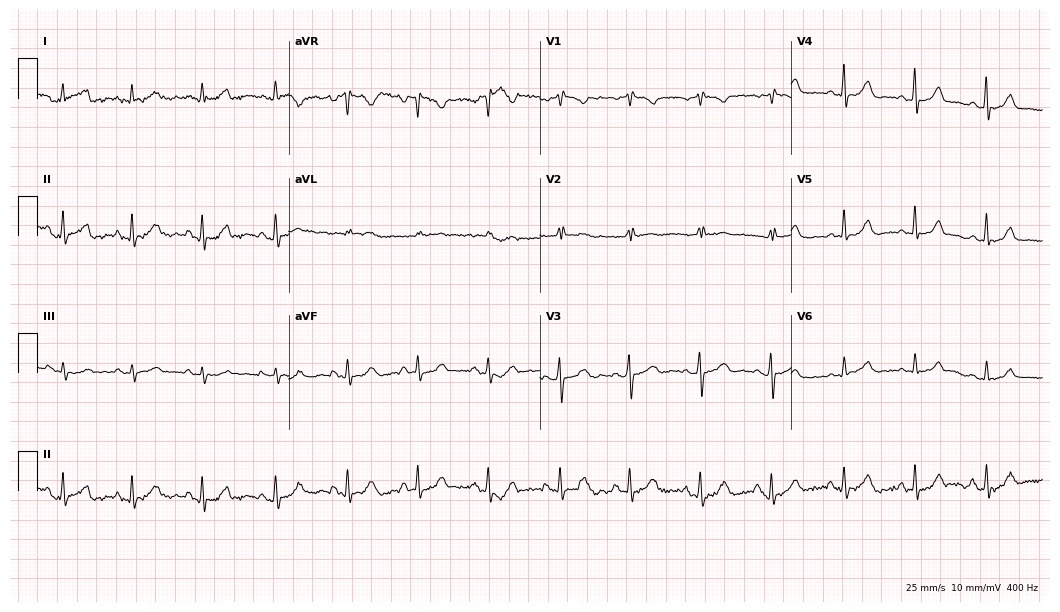
Standard 12-lead ECG recorded from a female patient, 44 years old (10.2-second recording at 400 Hz). Read as a normal ECG.